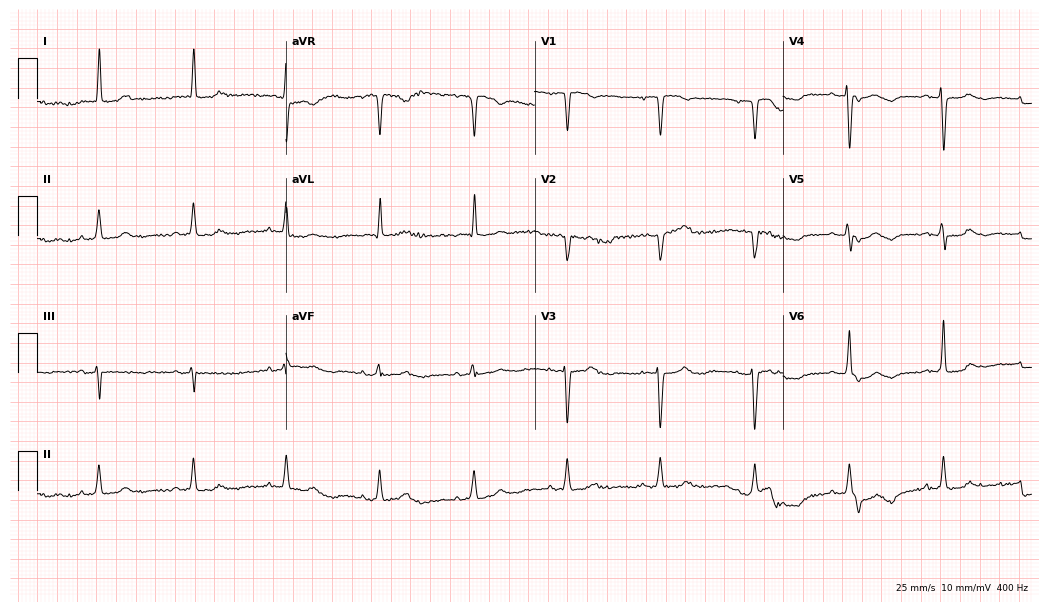
Electrocardiogram (10.1-second recording at 400 Hz), an 84-year-old female. Of the six screened findings (first-degree AV block, right bundle branch block, left bundle branch block, sinus bradycardia, atrial fibrillation, sinus tachycardia), none is recorded.